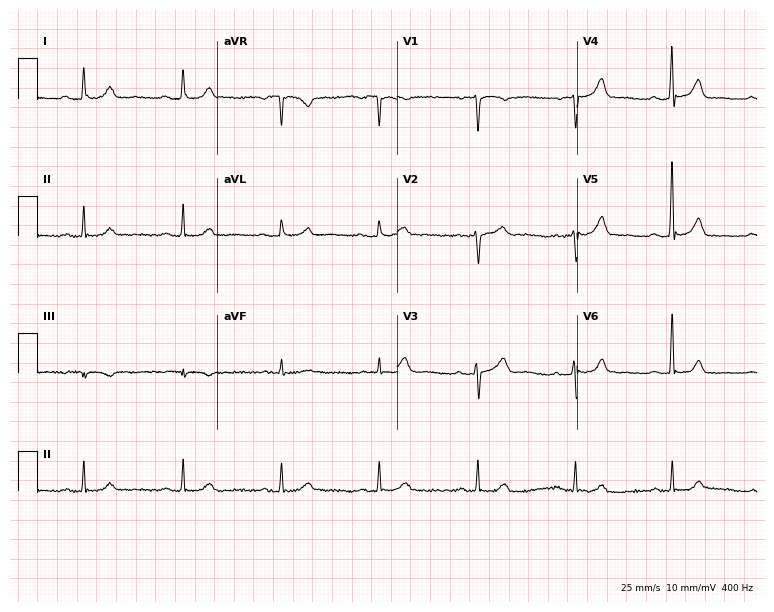
12-lead ECG (7.3-second recording at 400 Hz) from a woman, 68 years old. Labelled as a normal ECG.